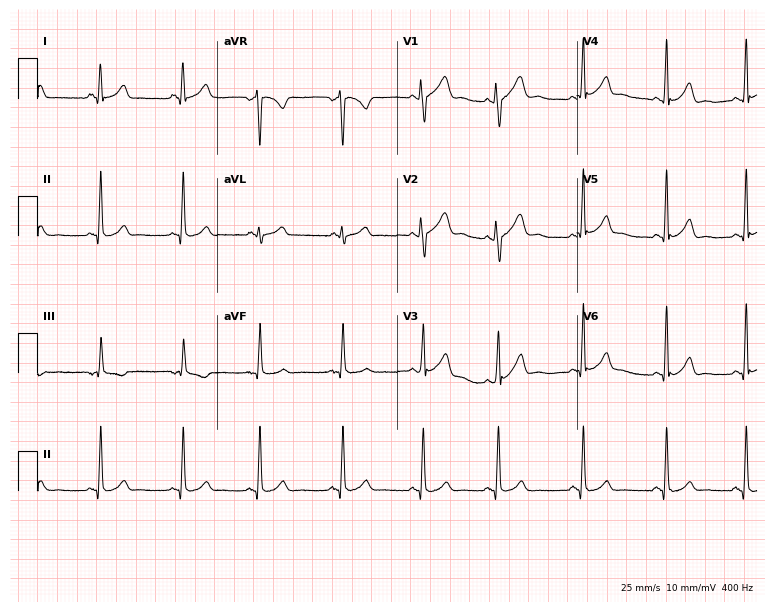
12-lead ECG from a 22-year-old female (7.3-second recording at 400 Hz). Recorded interpretation: within normal limits.